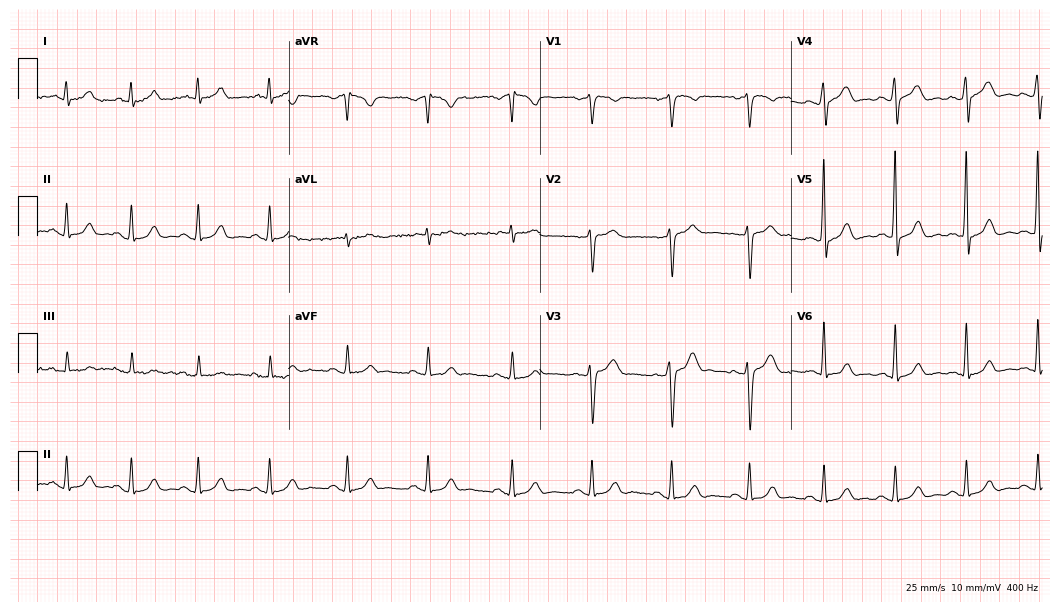
Resting 12-lead electrocardiogram (10.2-second recording at 400 Hz). Patient: a man, 35 years old. Read as a normal ECG.